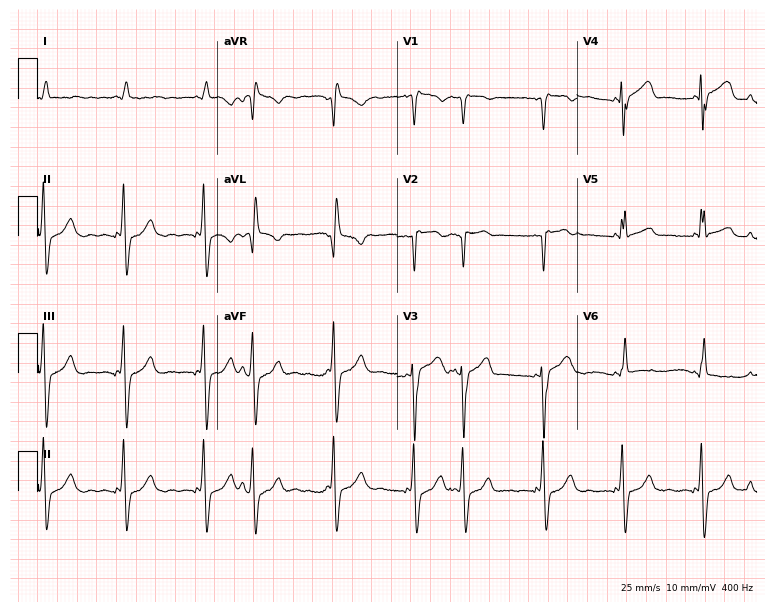
ECG (7.3-second recording at 400 Hz) — a 77-year-old male patient. Screened for six findings — first-degree AV block, right bundle branch block, left bundle branch block, sinus bradycardia, atrial fibrillation, sinus tachycardia — none is recorded. Other findings, if any, are not listed.